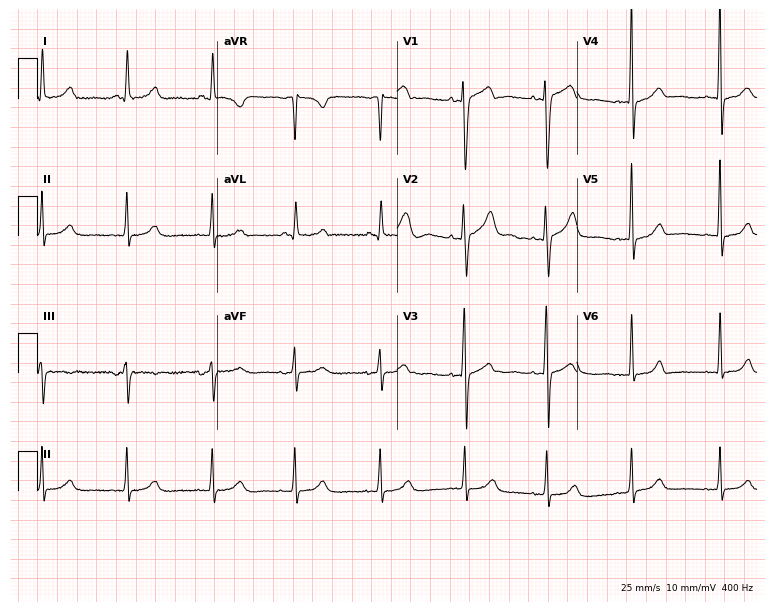
Electrocardiogram (7.3-second recording at 400 Hz), a 40-year-old female. Overall reading on record: normal ECG.